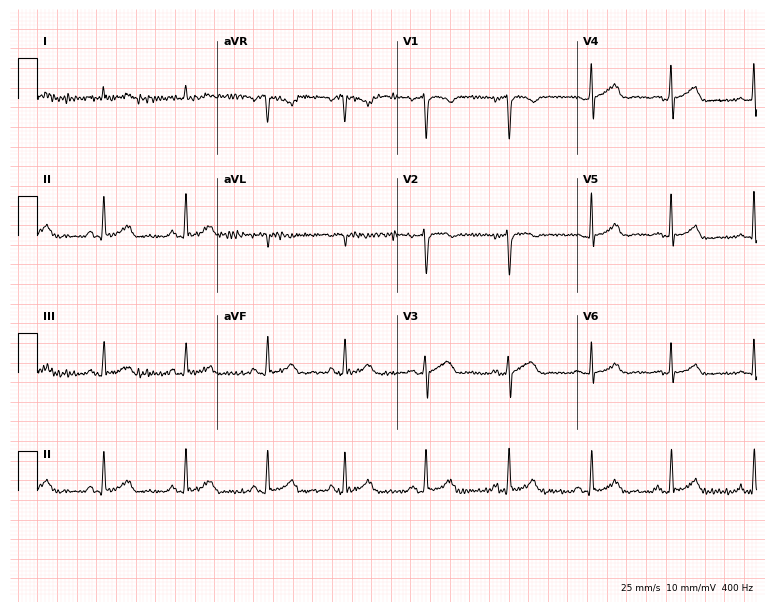
12-lead ECG from a male patient, 41 years old. Labelled as a normal ECG.